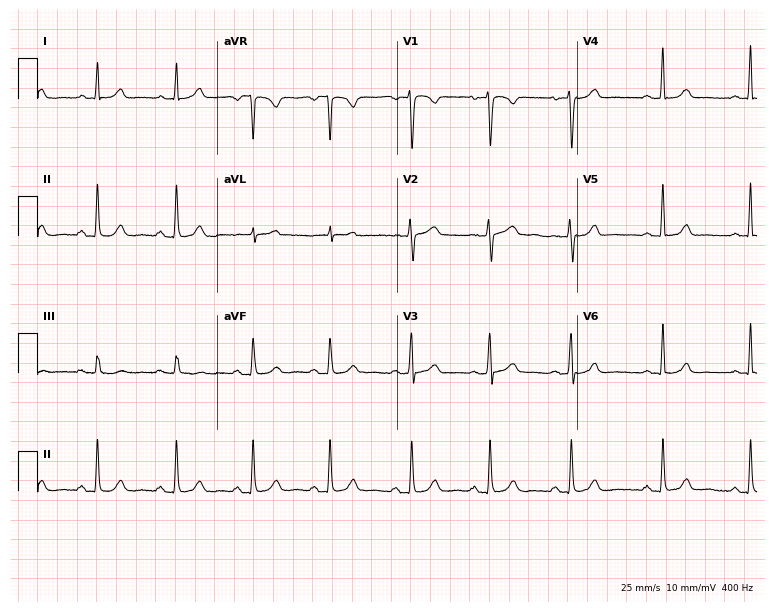
12-lead ECG from a woman, 40 years old. Labelled as a normal ECG.